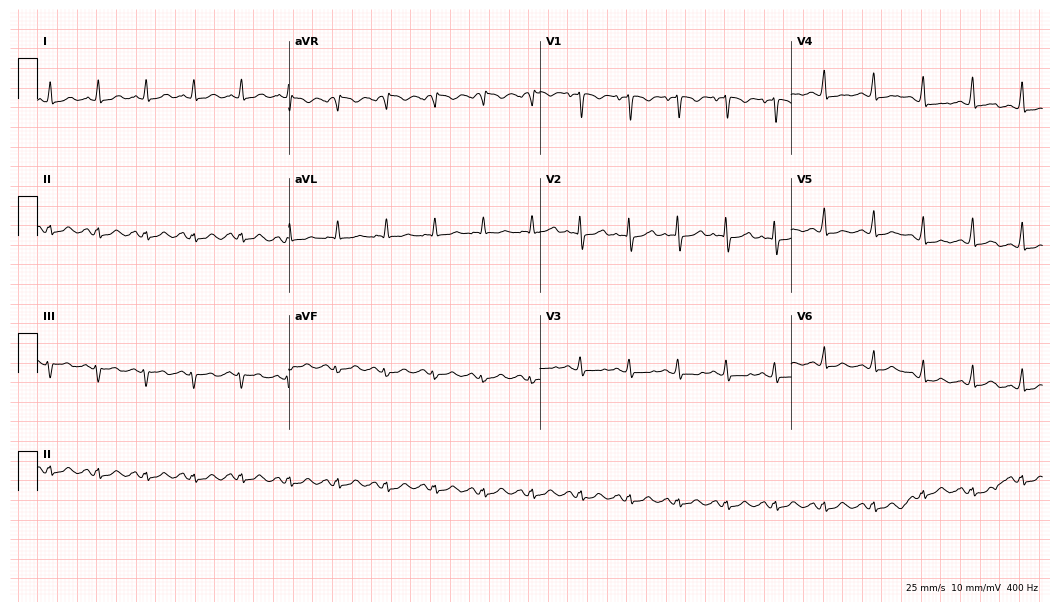
12-lead ECG (10.2-second recording at 400 Hz) from a 37-year-old female patient. Findings include sinus tachycardia (a sinus rate of 100 beats per minute or more).